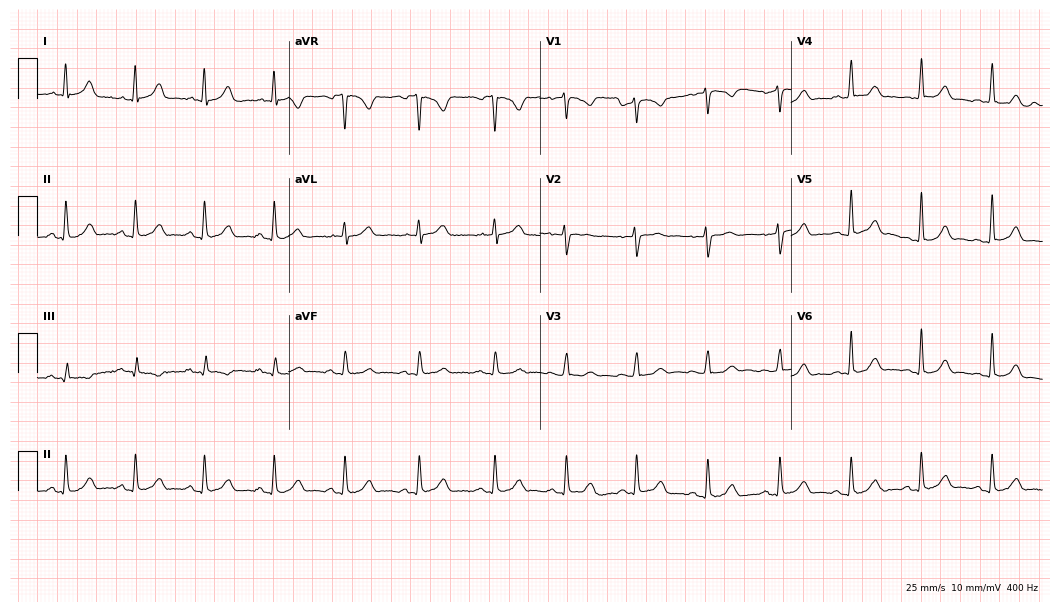
Standard 12-lead ECG recorded from a 30-year-old woman. Read as a normal ECG.